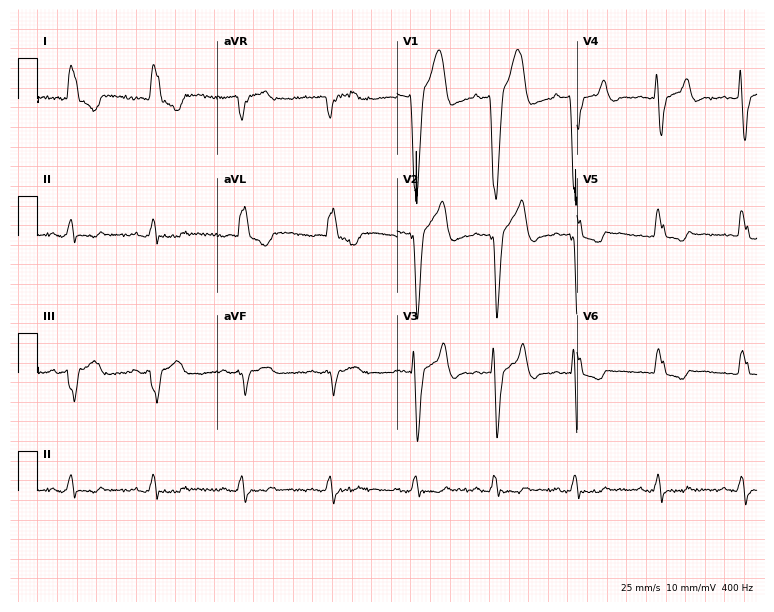
Electrocardiogram (7.3-second recording at 400 Hz), an 85-year-old man. Interpretation includes left bundle branch block.